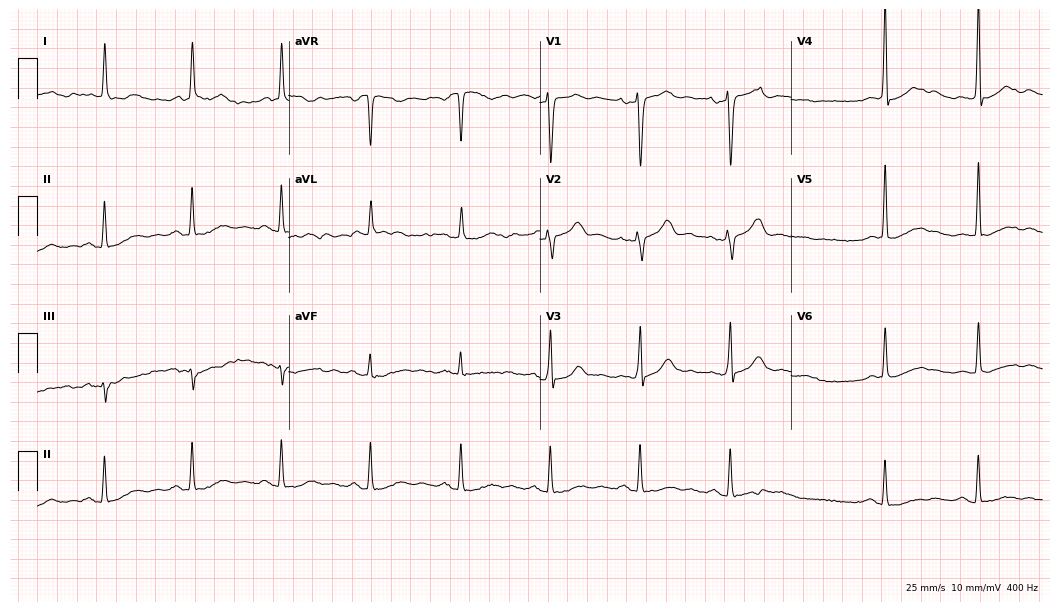
12-lead ECG from a male patient, 78 years old (10.2-second recording at 400 Hz). No first-degree AV block, right bundle branch block (RBBB), left bundle branch block (LBBB), sinus bradycardia, atrial fibrillation (AF) or sinus tachycardia recorded for this tracing.